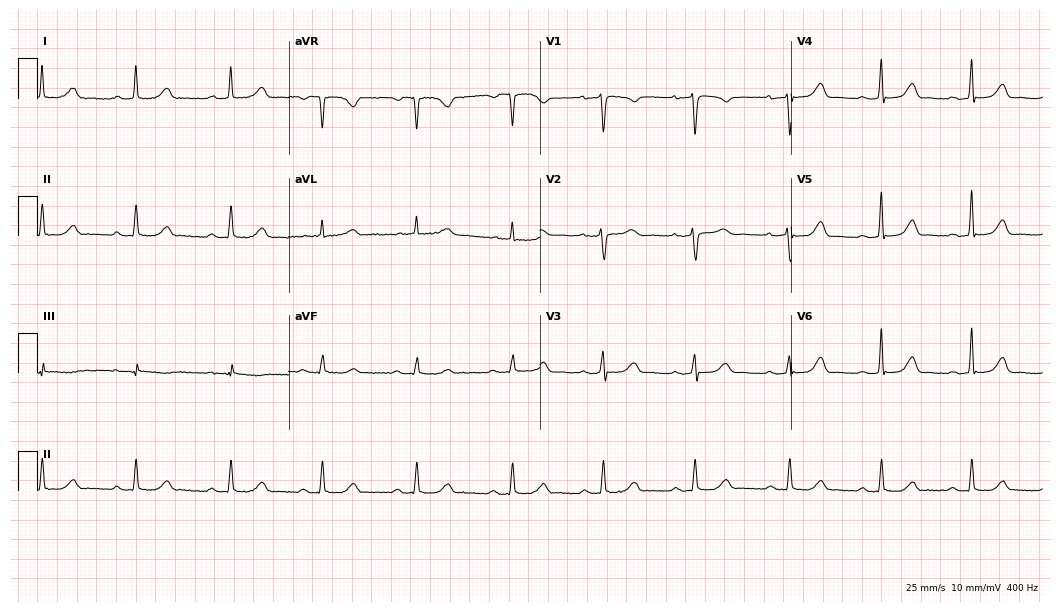
12-lead ECG from a woman, 55 years old (10.2-second recording at 400 Hz). Recorded interpretation: within normal limits.